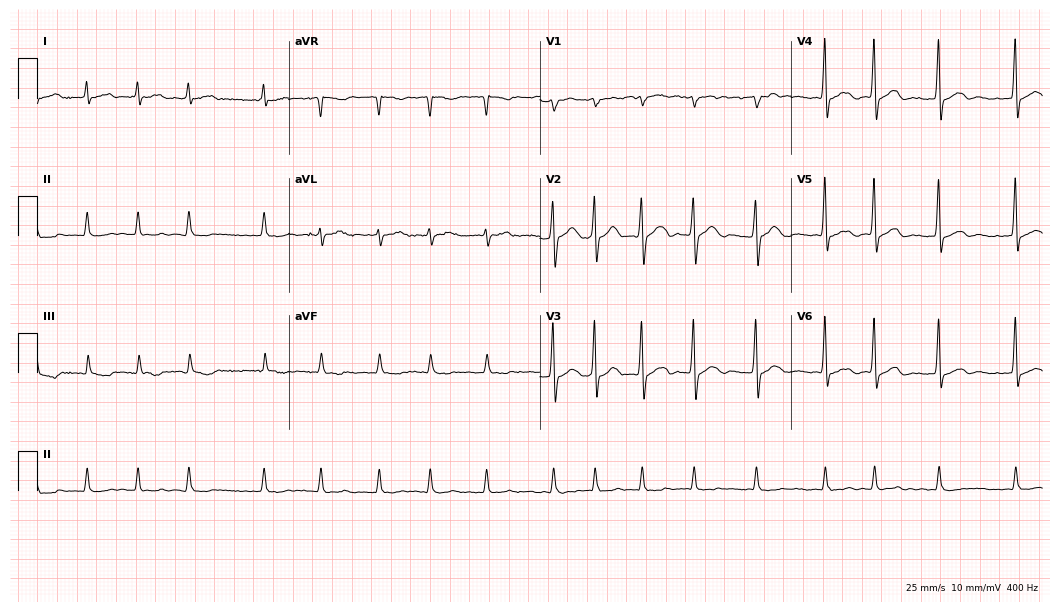
Standard 12-lead ECG recorded from a male, 71 years old (10.2-second recording at 400 Hz). The tracing shows atrial fibrillation (AF).